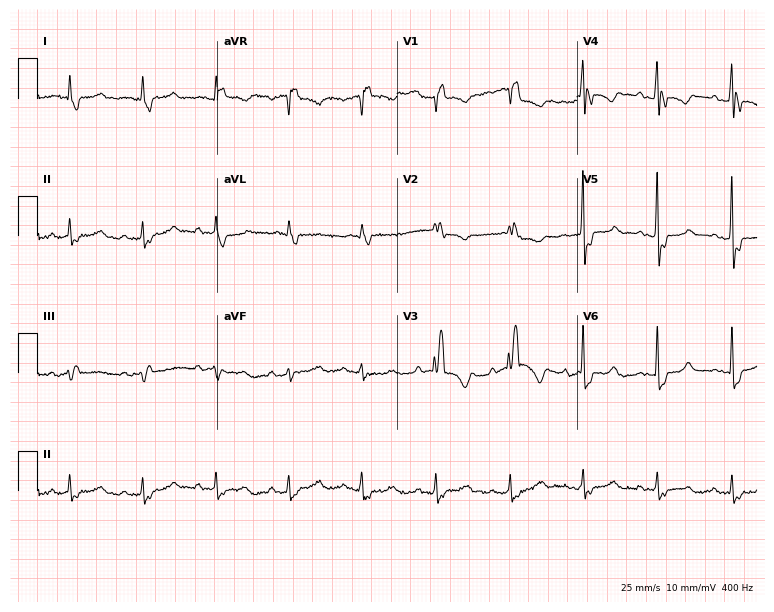
Resting 12-lead electrocardiogram. Patient: a 68-year-old female. The tracing shows right bundle branch block.